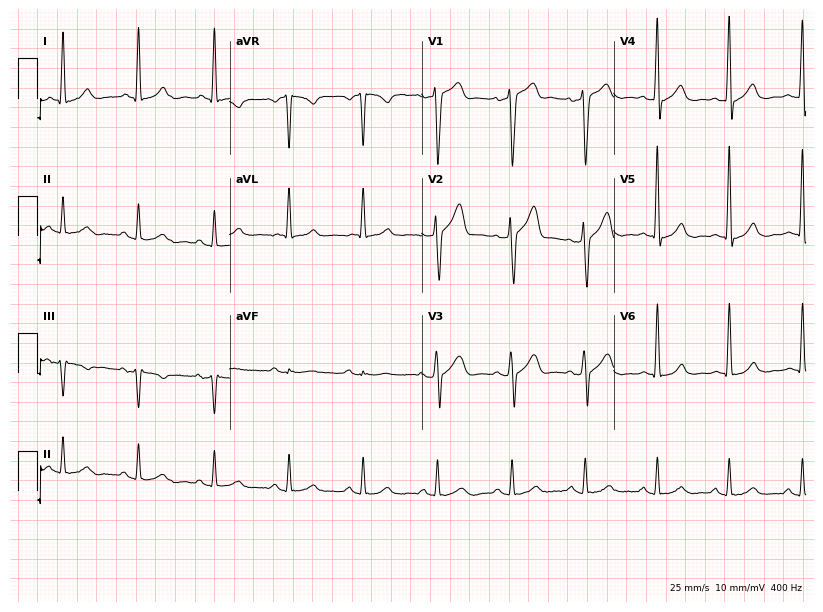
12-lead ECG from a 63-year-old female (7.8-second recording at 400 Hz). Recorded interpretation: within normal limits.